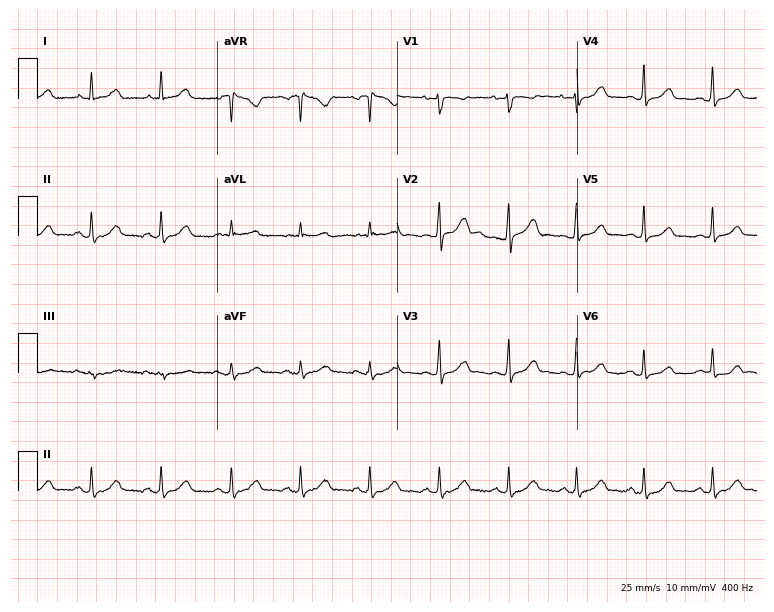
Electrocardiogram (7.3-second recording at 400 Hz), a 49-year-old female. Overall reading on record: normal ECG.